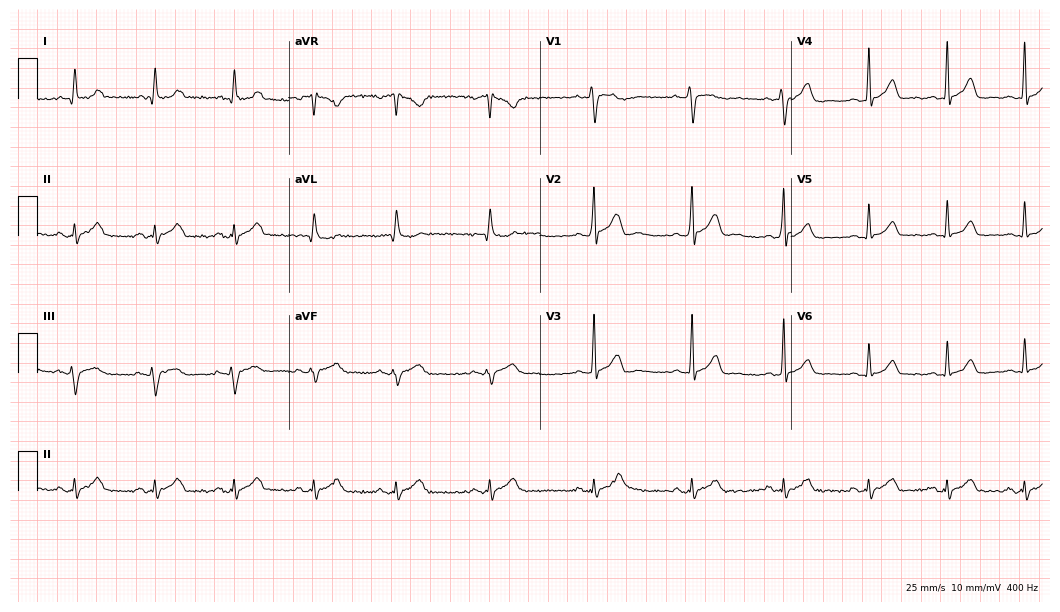
12-lead ECG from a 43-year-old man. Labelled as a normal ECG.